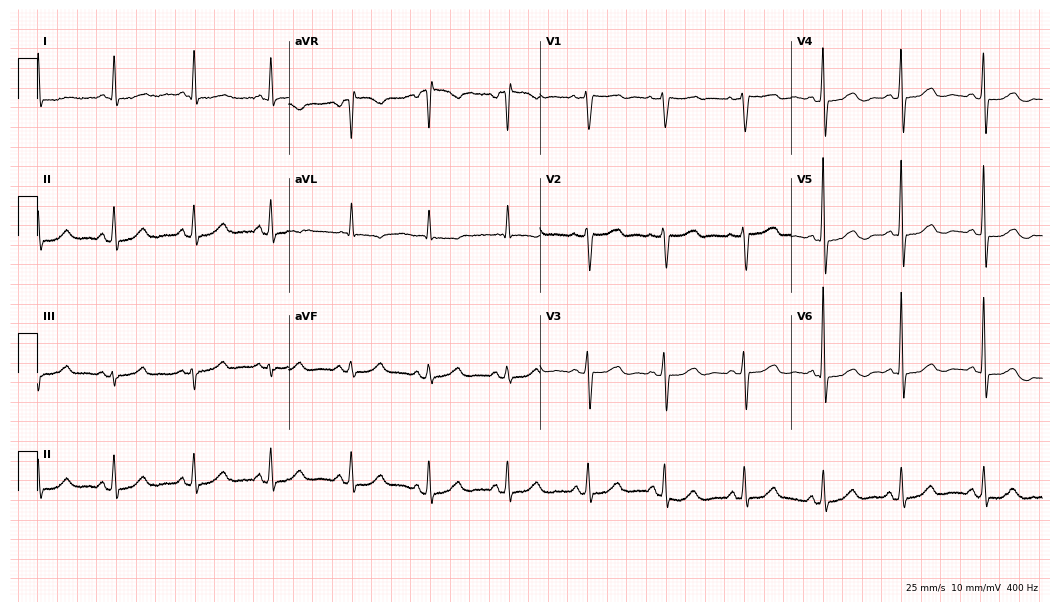
Resting 12-lead electrocardiogram. Patient: a female, 69 years old. Read as a normal ECG.